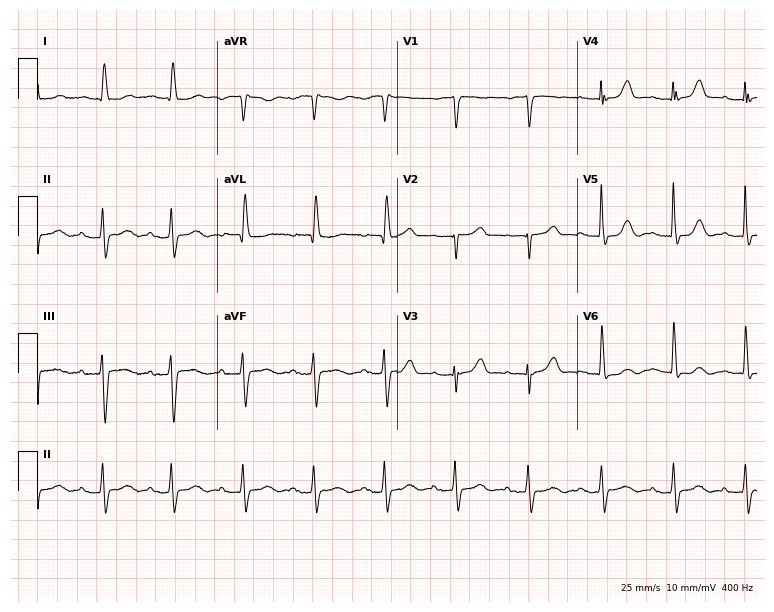
ECG — a woman, 85 years old. Labelled as a normal ECG.